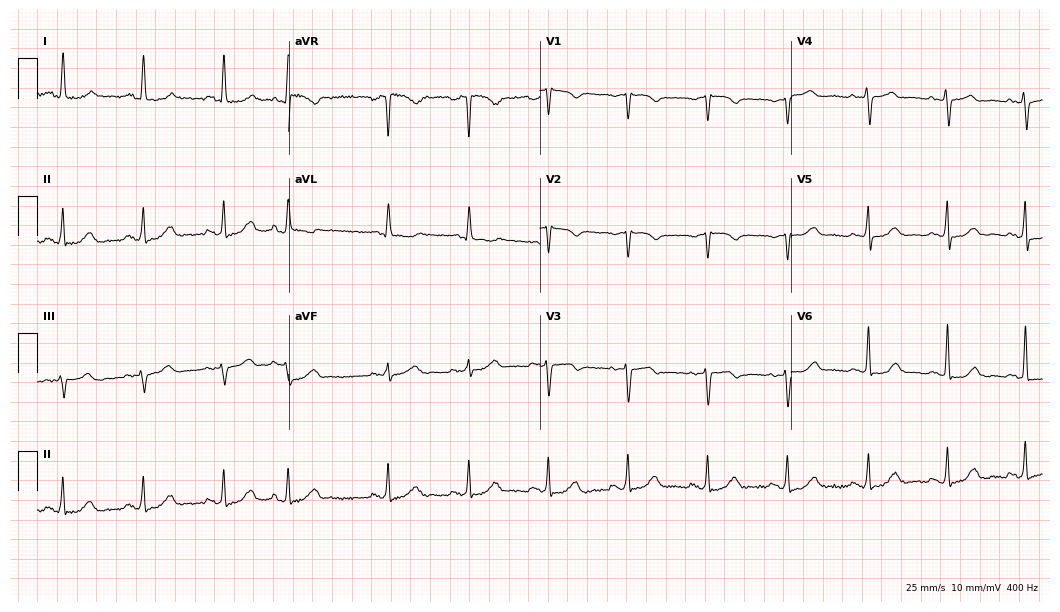
12-lead ECG (10.2-second recording at 400 Hz) from a female, 57 years old. Labelled as a normal ECG.